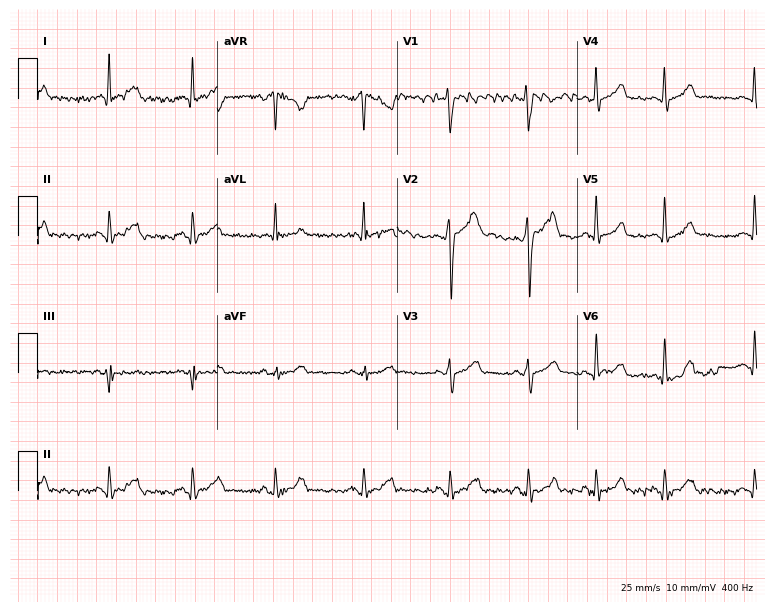
ECG — a 26-year-old male. Labelled as a normal ECG.